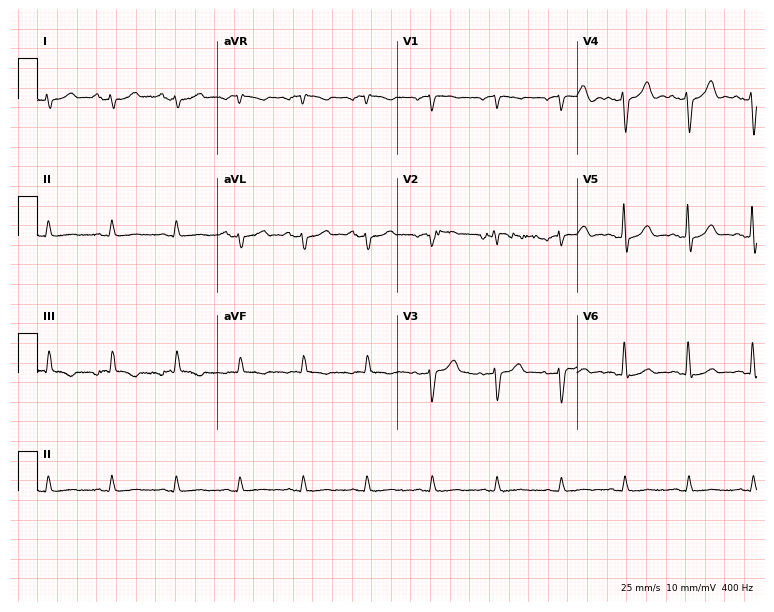
Resting 12-lead electrocardiogram (7.3-second recording at 400 Hz). Patient: a male, 76 years old. None of these six findings is recorded: first-degree AV block, right bundle branch block, left bundle branch block, sinus bradycardia, atrial fibrillation, sinus tachycardia. Findings outside these six are not listed.